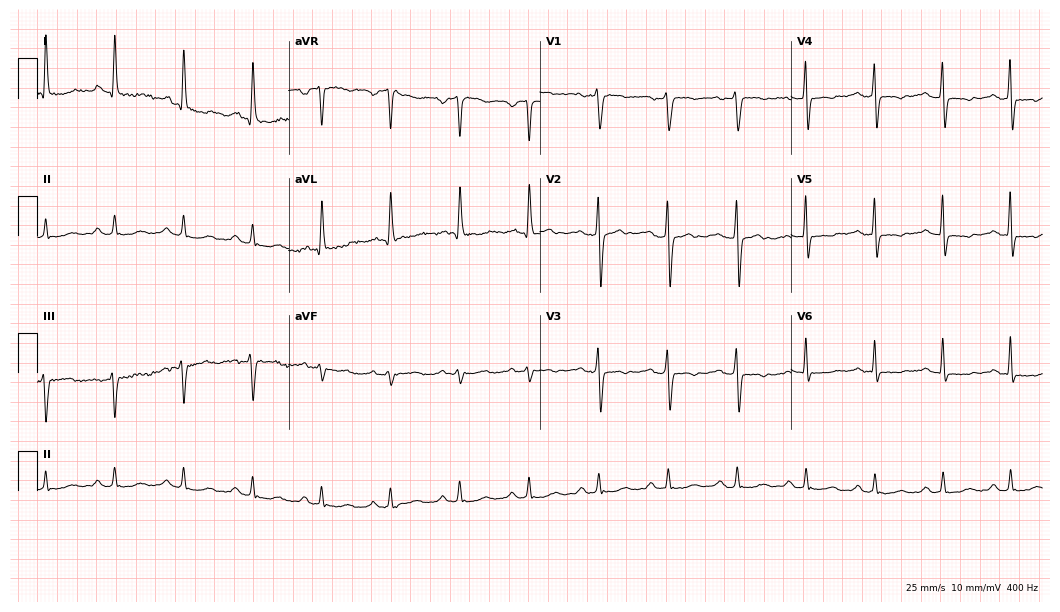
Standard 12-lead ECG recorded from a female patient, 48 years old (10.2-second recording at 400 Hz). None of these six findings is recorded: first-degree AV block, right bundle branch block, left bundle branch block, sinus bradycardia, atrial fibrillation, sinus tachycardia. Findings outside these six are not listed.